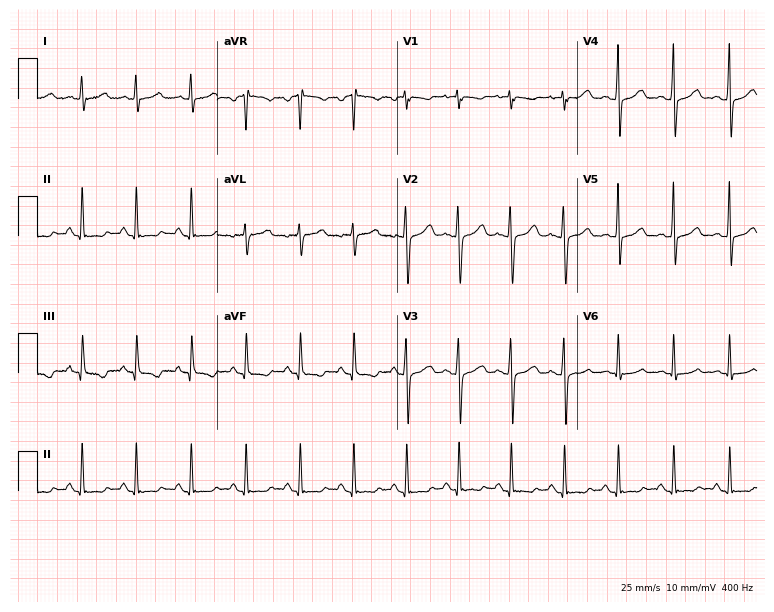
Standard 12-lead ECG recorded from a female patient, 20 years old (7.3-second recording at 400 Hz). The tracing shows sinus tachycardia (a sinus rate of 100 beats per minute or more).